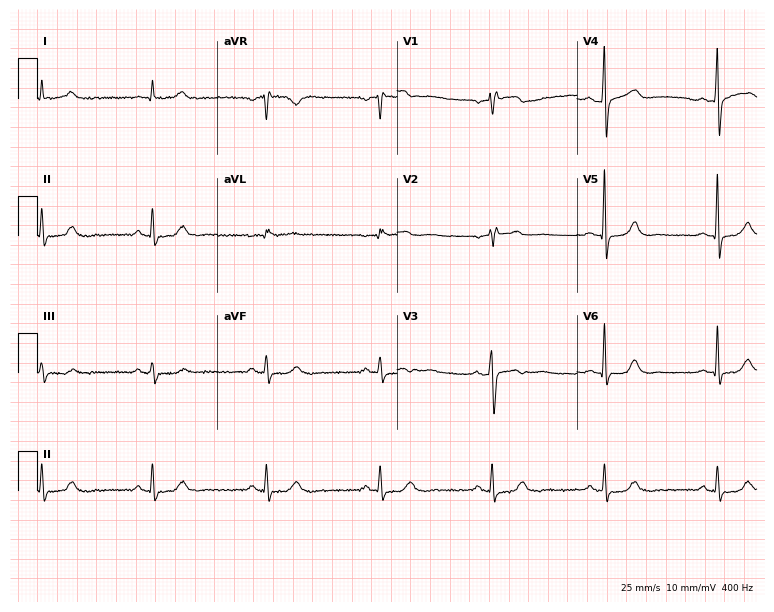
ECG (7.3-second recording at 400 Hz) — a 67-year-old man. Screened for six findings — first-degree AV block, right bundle branch block, left bundle branch block, sinus bradycardia, atrial fibrillation, sinus tachycardia — none is recorded. Only these six findings were labelled.